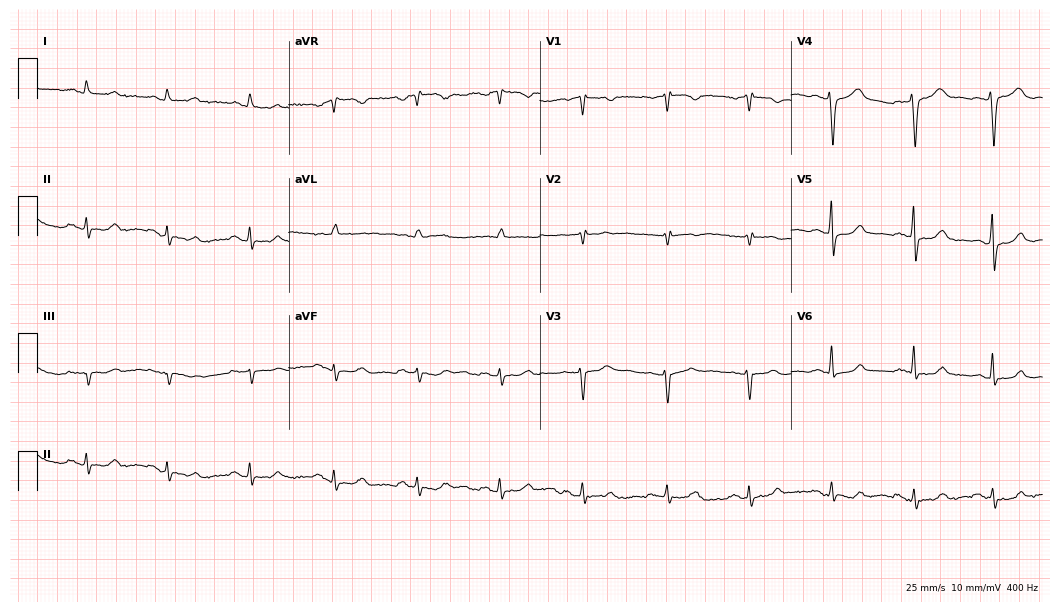
12-lead ECG from a 58-year-old female patient (10.2-second recording at 400 Hz). Recorded interpretation: within normal limits.